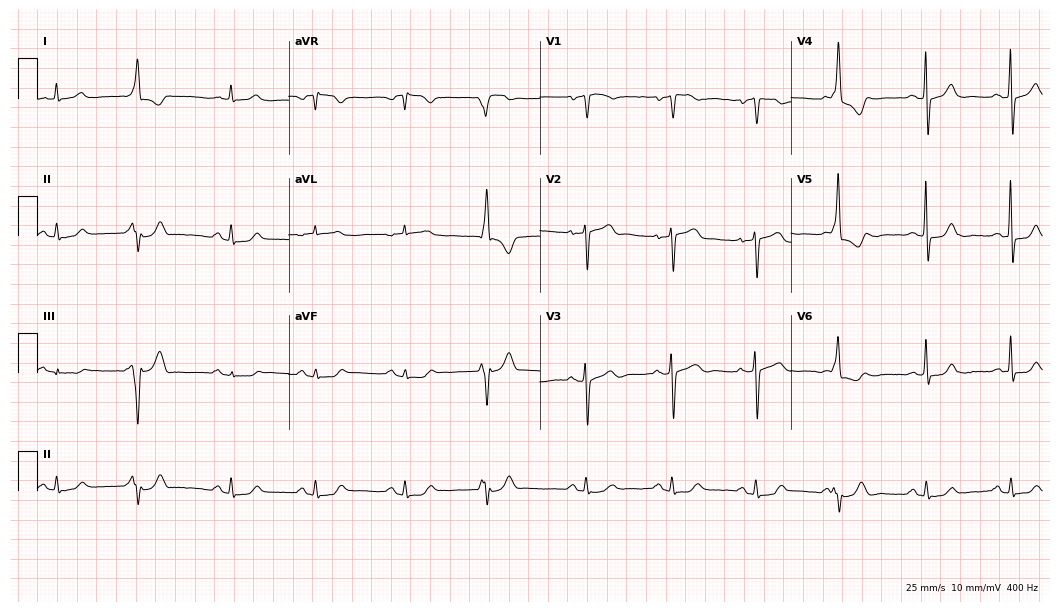
Resting 12-lead electrocardiogram. Patient: a man, 76 years old. None of these six findings is recorded: first-degree AV block, right bundle branch block, left bundle branch block, sinus bradycardia, atrial fibrillation, sinus tachycardia. Findings outside these six are not listed.